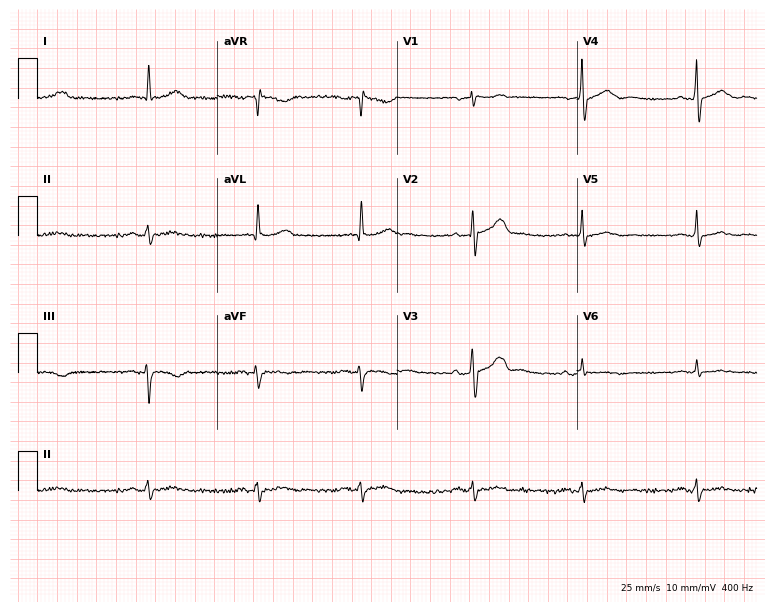
12-lead ECG (7.3-second recording at 400 Hz) from a 69-year-old male patient. Labelled as a normal ECG.